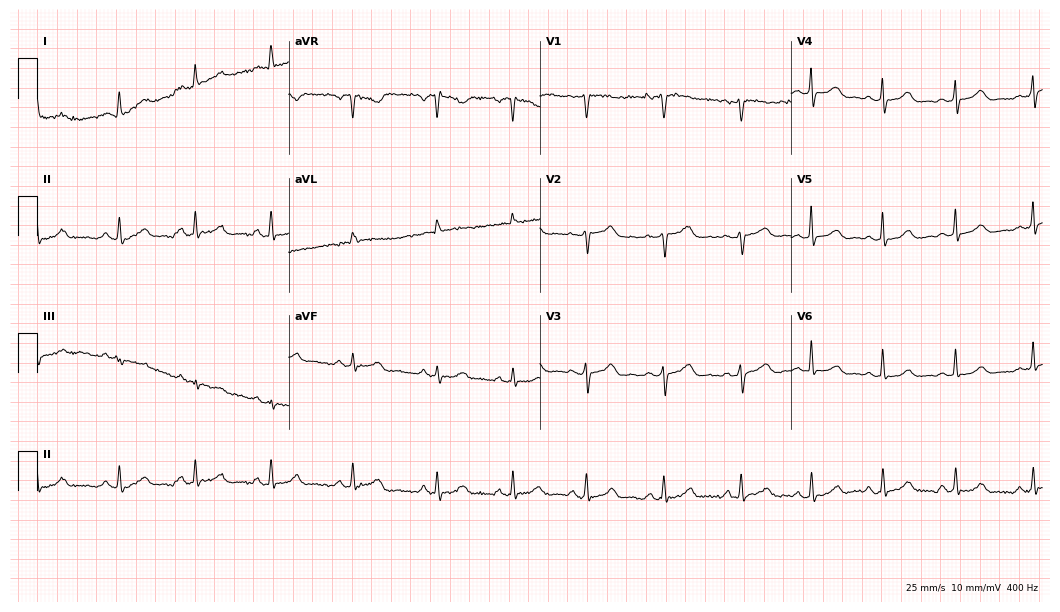
12-lead ECG (10.2-second recording at 400 Hz) from a female, 61 years old. Labelled as a normal ECG.